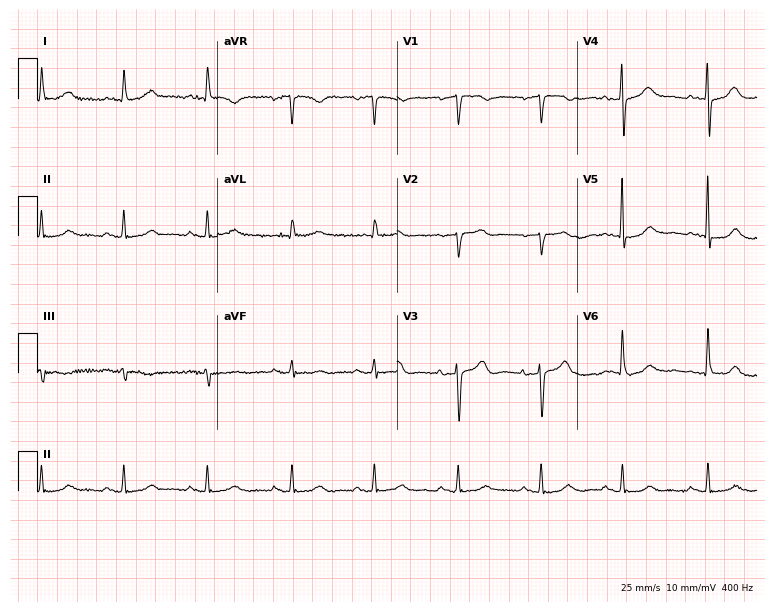
Standard 12-lead ECG recorded from an 85-year-old woman (7.3-second recording at 400 Hz). Read as a normal ECG.